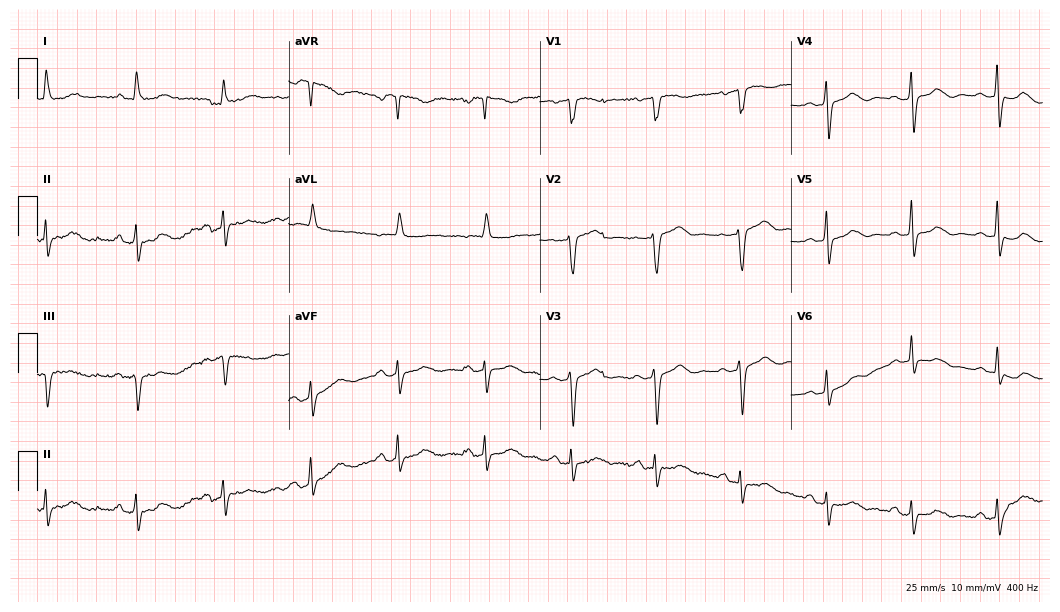
Resting 12-lead electrocardiogram. Patient: a woman, 73 years old. Read as a normal ECG.